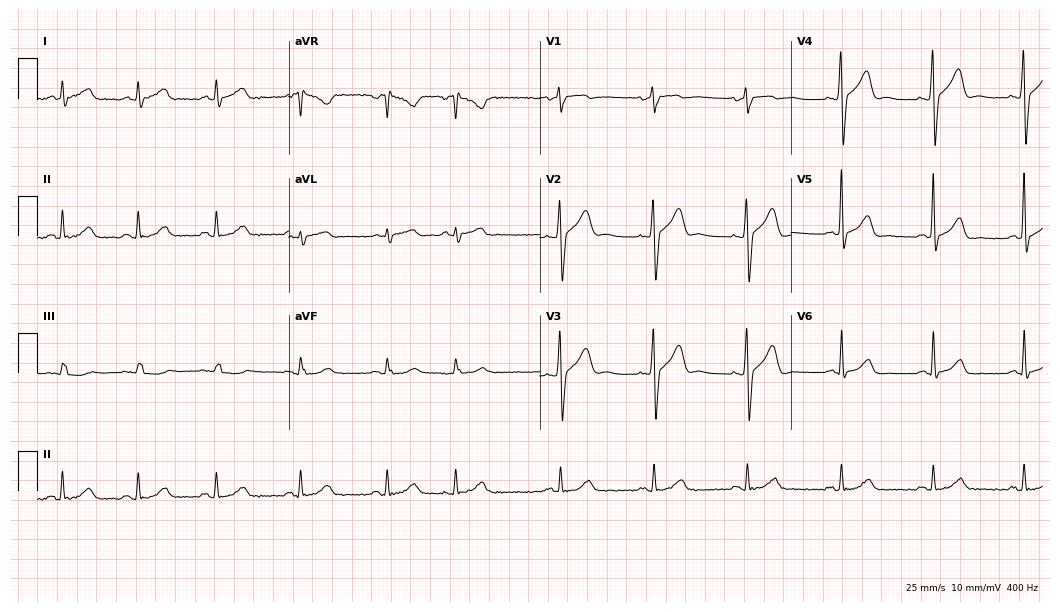
12-lead ECG from a 77-year-old man. Labelled as a normal ECG.